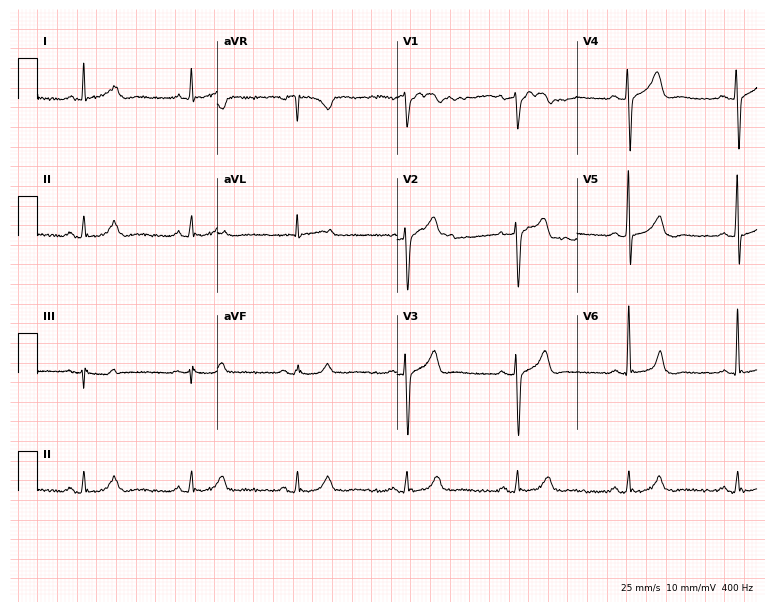
Standard 12-lead ECG recorded from a 64-year-old man. None of these six findings is recorded: first-degree AV block, right bundle branch block (RBBB), left bundle branch block (LBBB), sinus bradycardia, atrial fibrillation (AF), sinus tachycardia.